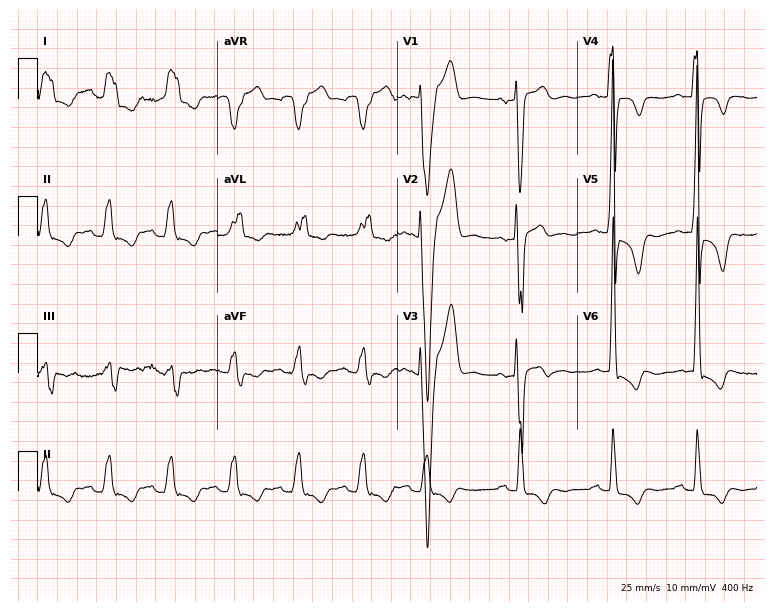
Resting 12-lead electrocardiogram (7.3-second recording at 400 Hz). Patient: a 70-year-old female. The tracing shows left bundle branch block.